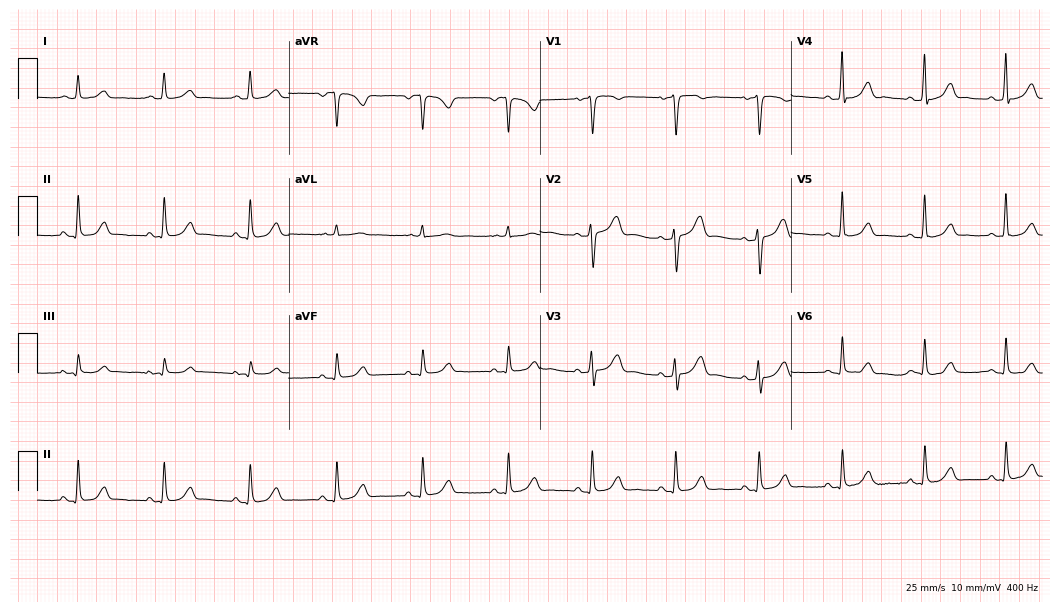
Resting 12-lead electrocardiogram. Patient: a 56-year-old woman. Read as a normal ECG.